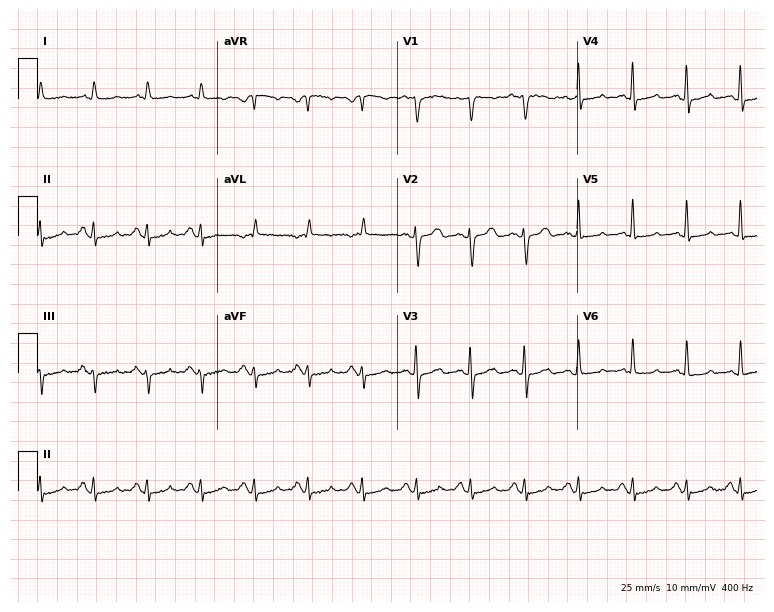
12-lead ECG (7.3-second recording at 400 Hz) from a 67-year-old male patient. Screened for six findings — first-degree AV block, right bundle branch block, left bundle branch block, sinus bradycardia, atrial fibrillation, sinus tachycardia — none is recorded. Findings outside these six are not listed.